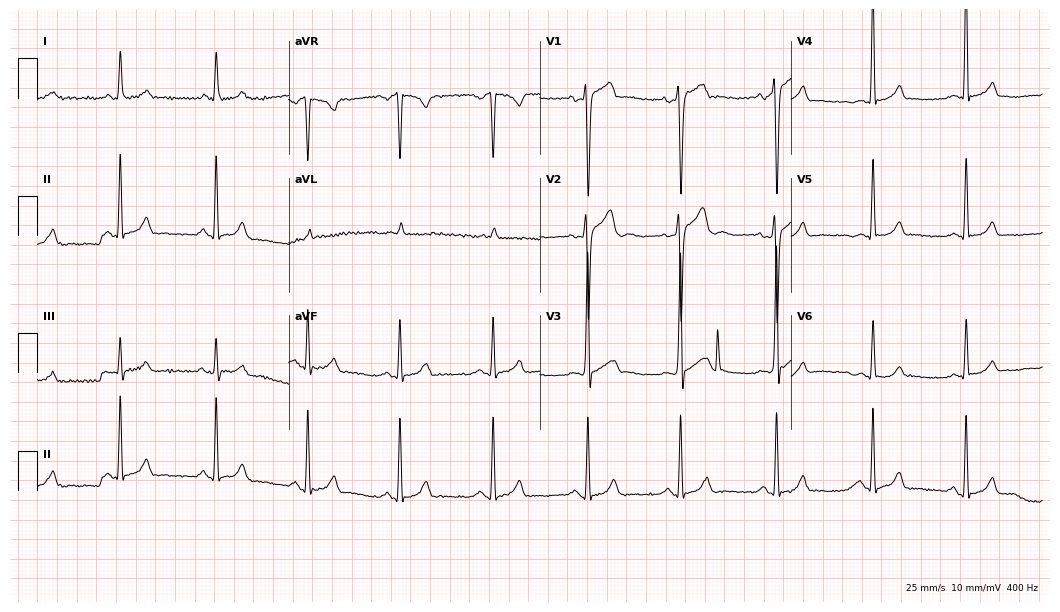
12-lead ECG from a 31-year-old male. Labelled as a normal ECG.